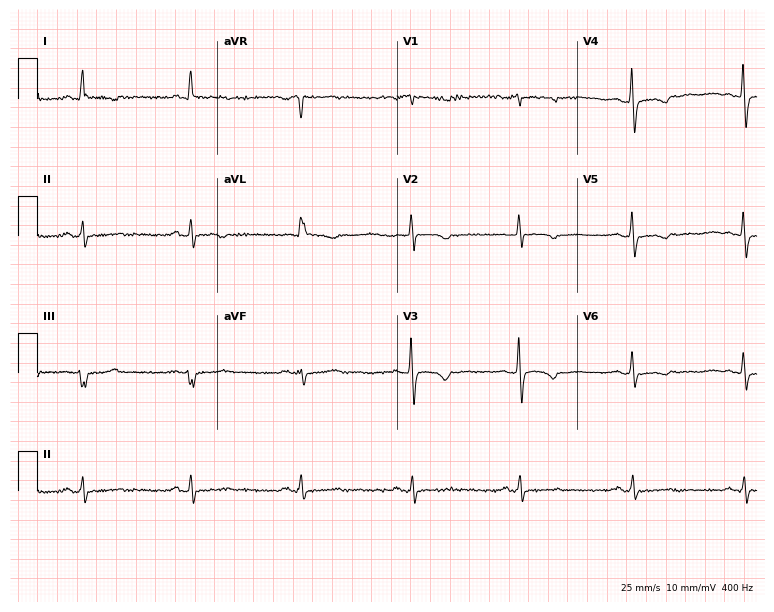
Electrocardiogram, a 69-year-old female patient. Of the six screened findings (first-degree AV block, right bundle branch block, left bundle branch block, sinus bradycardia, atrial fibrillation, sinus tachycardia), none is recorded. Other findings, if any, are not listed.